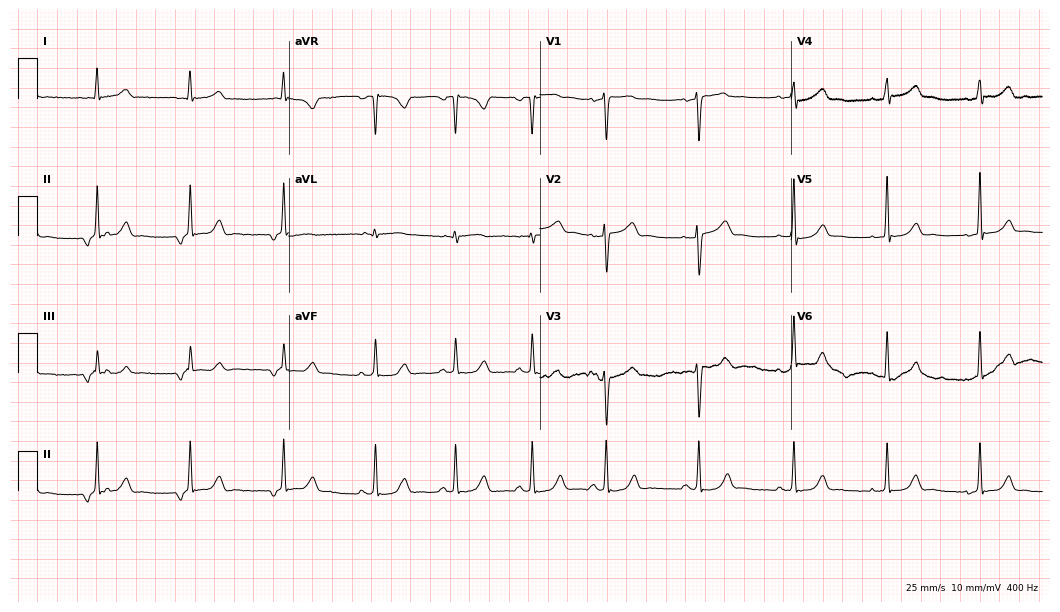
ECG (10.2-second recording at 400 Hz) — a 34-year-old female patient. Screened for six findings — first-degree AV block, right bundle branch block (RBBB), left bundle branch block (LBBB), sinus bradycardia, atrial fibrillation (AF), sinus tachycardia — none is recorded.